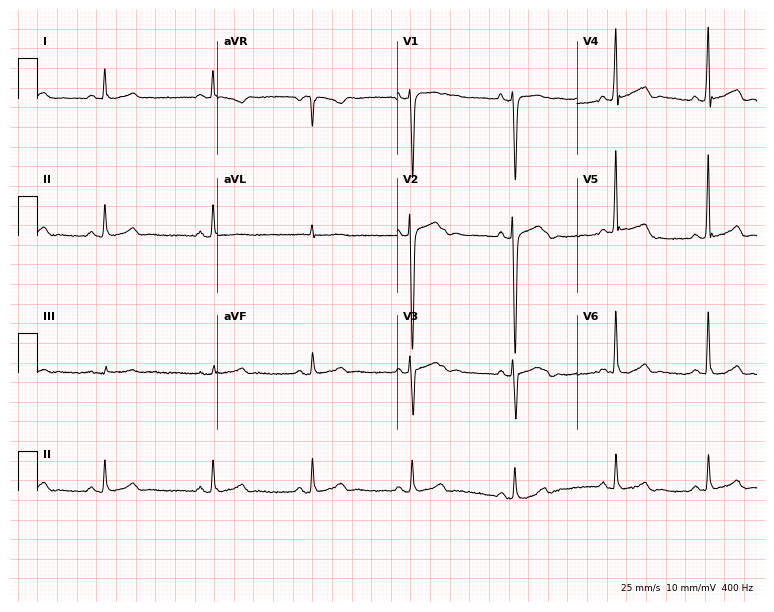
Electrocardiogram (7.3-second recording at 400 Hz), a 52-year-old man. Overall reading on record: normal ECG.